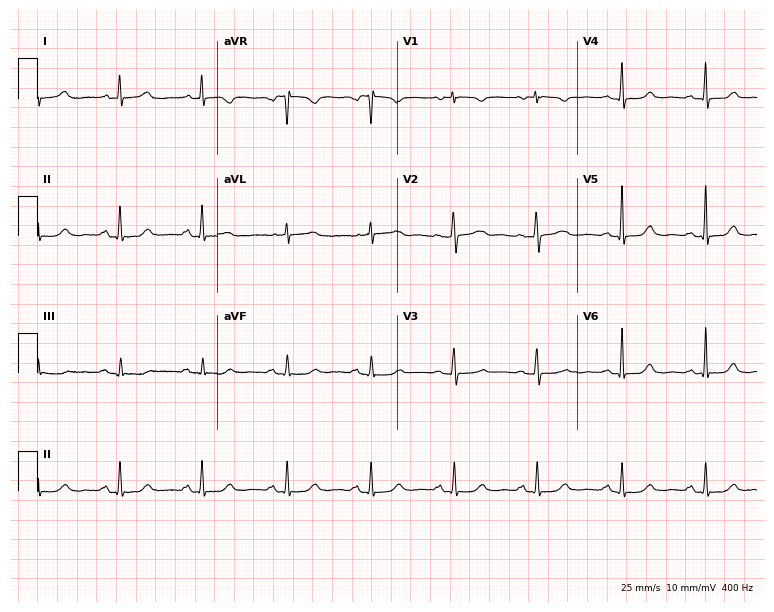
Resting 12-lead electrocardiogram (7.3-second recording at 400 Hz). Patient: a woman, 56 years old. Read as a normal ECG.